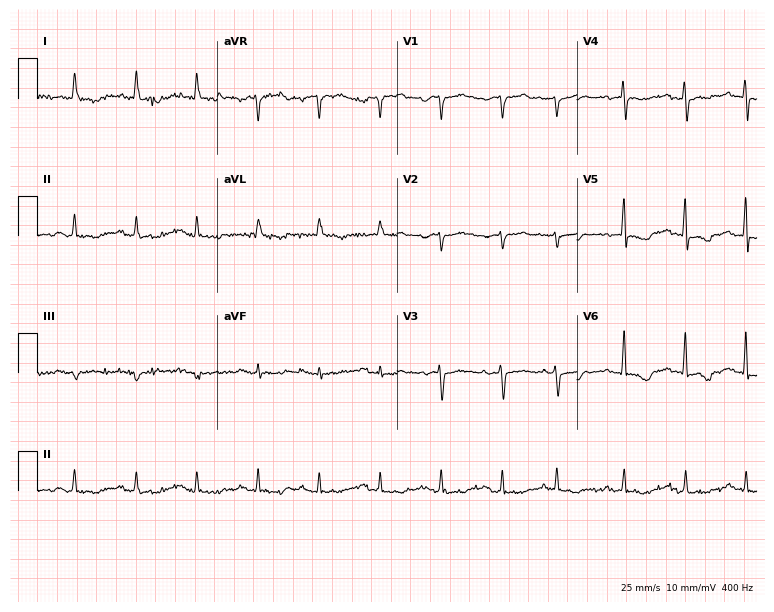
Electrocardiogram, a 75-year-old female. Of the six screened findings (first-degree AV block, right bundle branch block, left bundle branch block, sinus bradycardia, atrial fibrillation, sinus tachycardia), none is recorded. Findings outside these six are not listed.